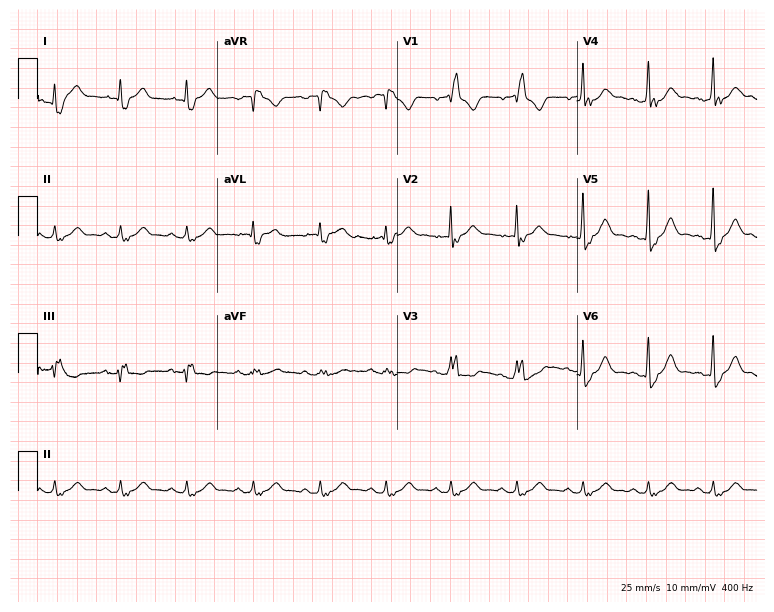
Resting 12-lead electrocardiogram. Patient: a man, 68 years old. The tracing shows right bundle branch block (RBBB).